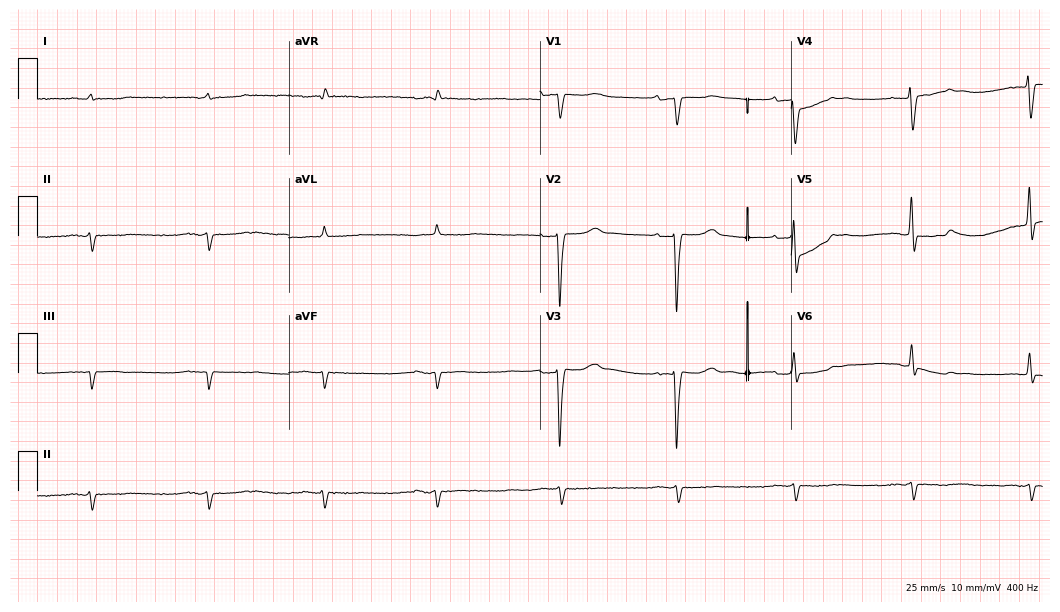
Electrocardiogram (10.2-second recording at 400 Hz), a 75-year-old male patient. Of the six screened findings (first-degree AV block, right bundle branch block, left bundle branch block, sinus bradycardia, atrial fibrillation, sinus tachycardia), none is recorded.